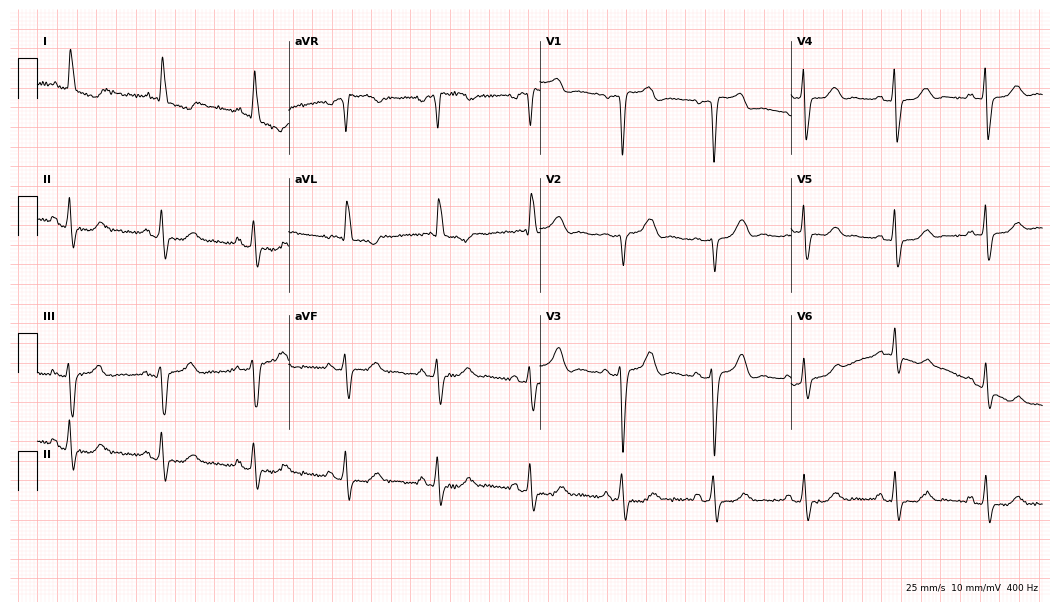
Resting 12-lead electrocardiogram (10.2-second recording at 400 Hz). Patient: an 81-year-old woman. None of these six findings is recorded: first-degree AV block, right bundle branch block (RBBB), left bundle branch block (LBBB), sinus bradycardia, atrial fibrillation (AF), sinus tachycardia. Findings outside these six are not listed.